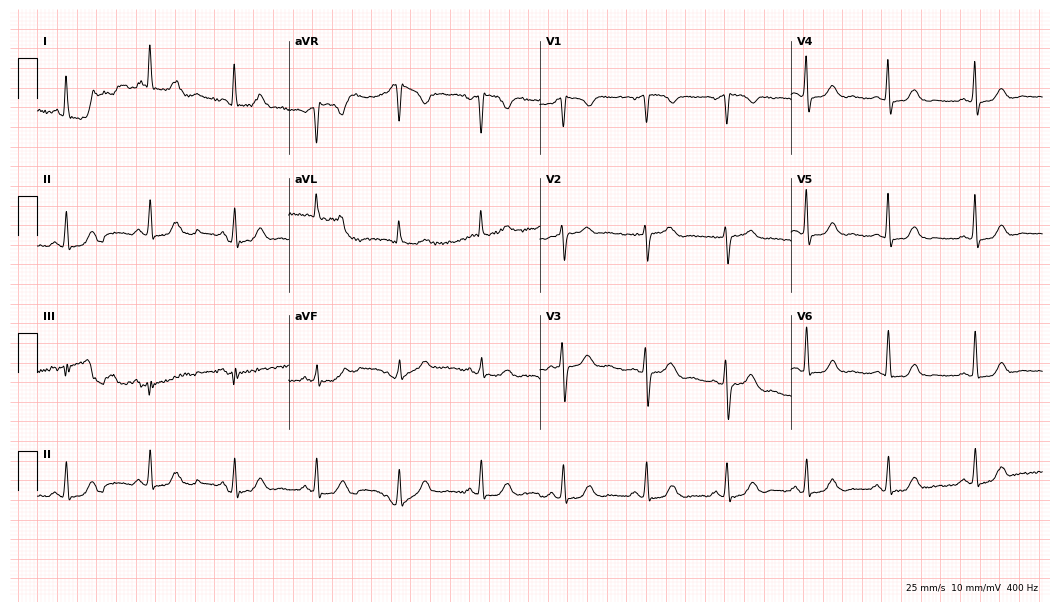
ECG — a woman, 60 years old. Labelled as a normal ECG.